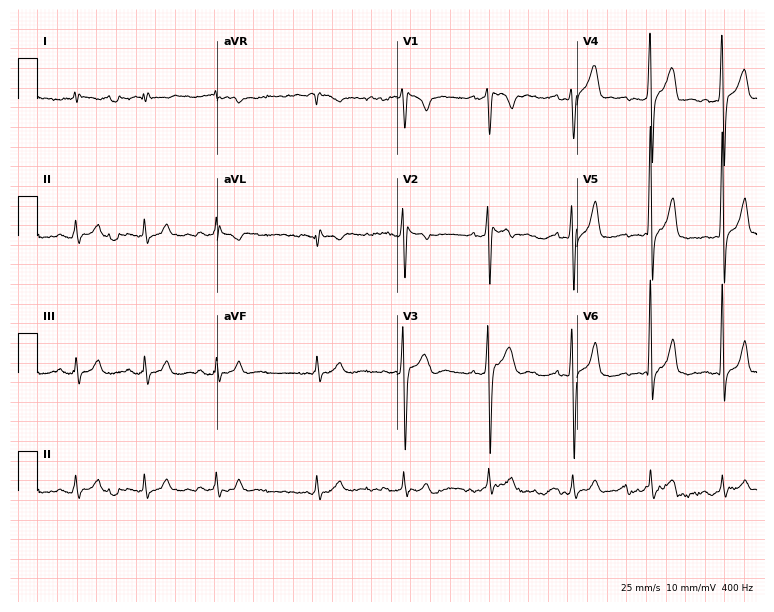
Electrocardiogram (7.3-second recording at 400 Hz), a man, 25 years old. Of the six screened findings (first-degree AV block, right bundle branch block, left bundle branch block, sinus bradycardia, atrial fibrillation, sinus tachycardia), none is recorded. Other findings, if any, are not listed.